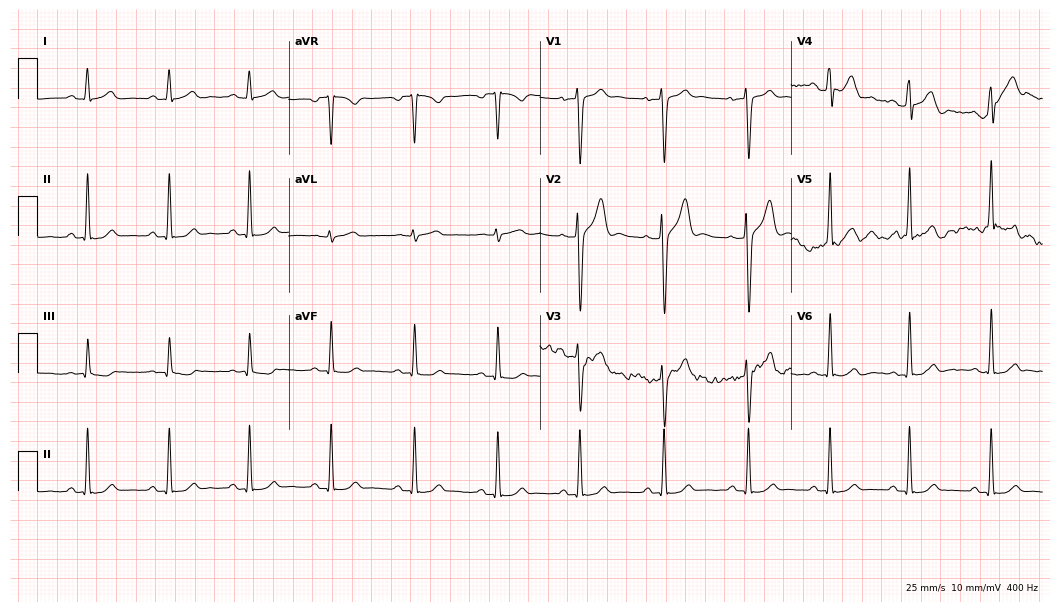
Standard 12-lead ECG recorded from a male, 27 years old (10.2-second recording at 400 Hz). None of these six findings is recorded: first-degree AV block, right bundle branch block, left bundle branch block, sinus bradycardia, atrial fibrillation, sinus tachycardia. Other findings, if any, are not listed.